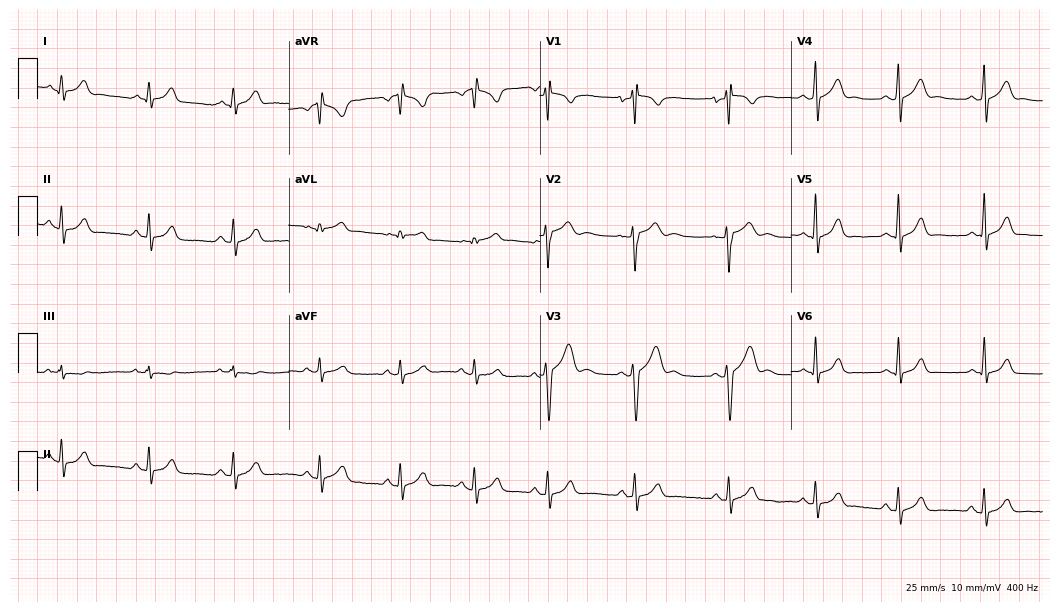
ECG (10.2-second recording at 400 Hz) — a male patient, 23 years old. Labelled as a normal ECG.